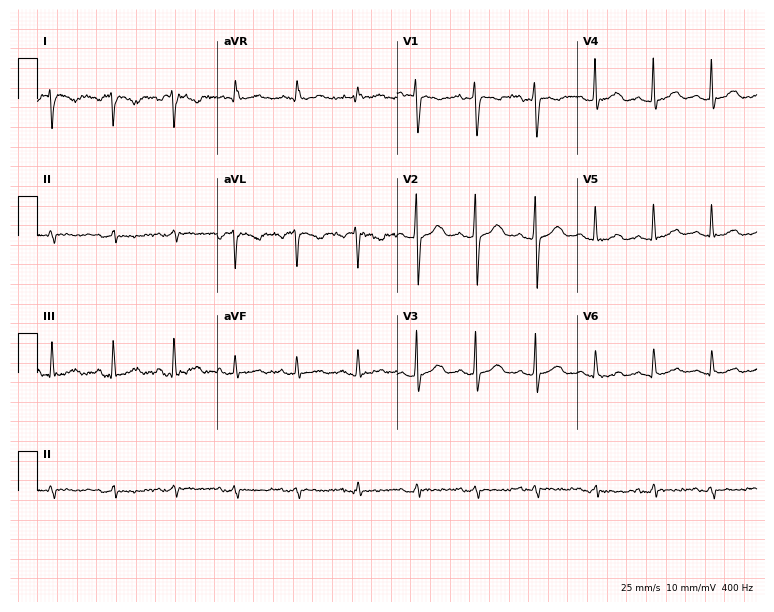
Electrocardiogram, a female, 32 years old. Of the six screened findings (first-degree AV block, right bundle branch block (RBBB), left bundle branch block (LBBB), sinus bradycardia, atrial fibrillation (AF), sinus tachycardia), none is recorded. Other findings, if any, are not listed.